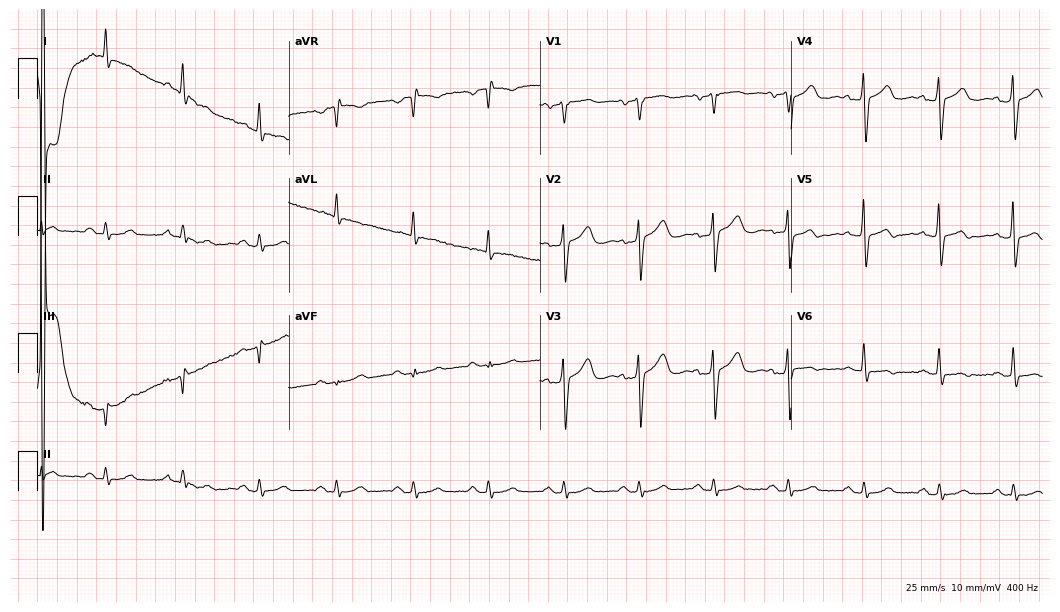
Standard 12-lead ECG recorded from a 69-year-old male patient. None of these six findings is recorded: first-degree AV block, right bundle branch block, left bundle branch block, sinus bradycardia, atrial fibrillation, sinus tachycardia.